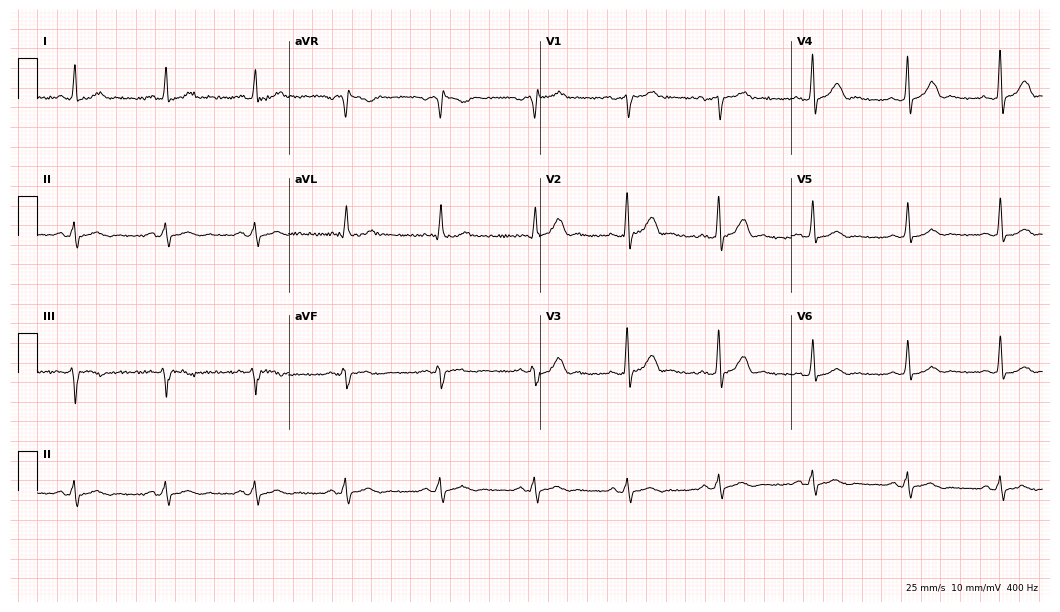
12-lead ECG from a male patient, 45 years old (10.2-second recording at 400 Hz). Recorded interpretation: within normal limits.